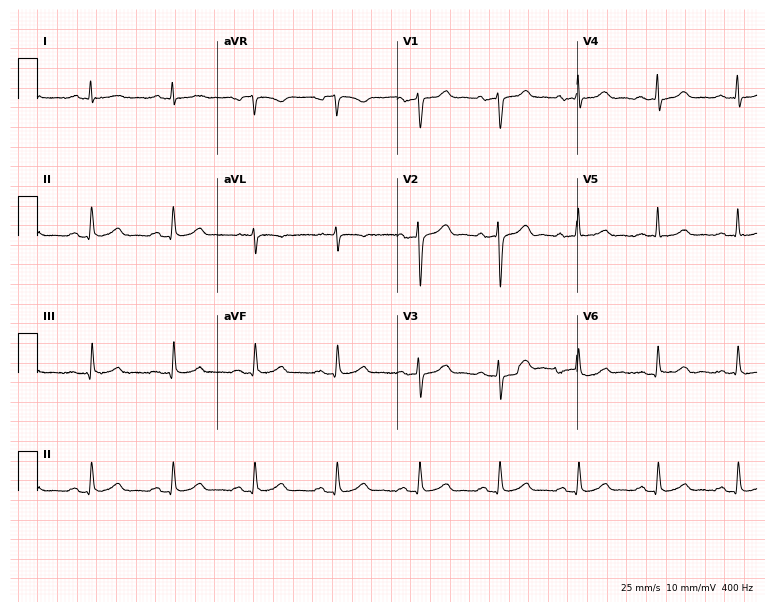
Electrocardiogram, a male, 65 years old. Overall reading on record: normal ECG.